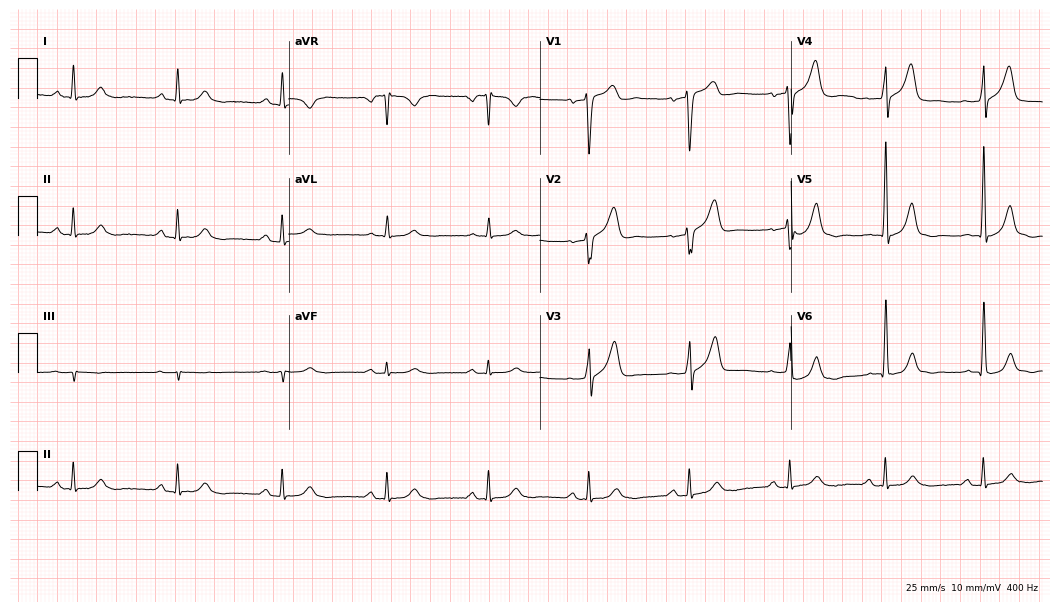
12-lead ECG from a 58-year-old man. Labelled as a normal ECG.